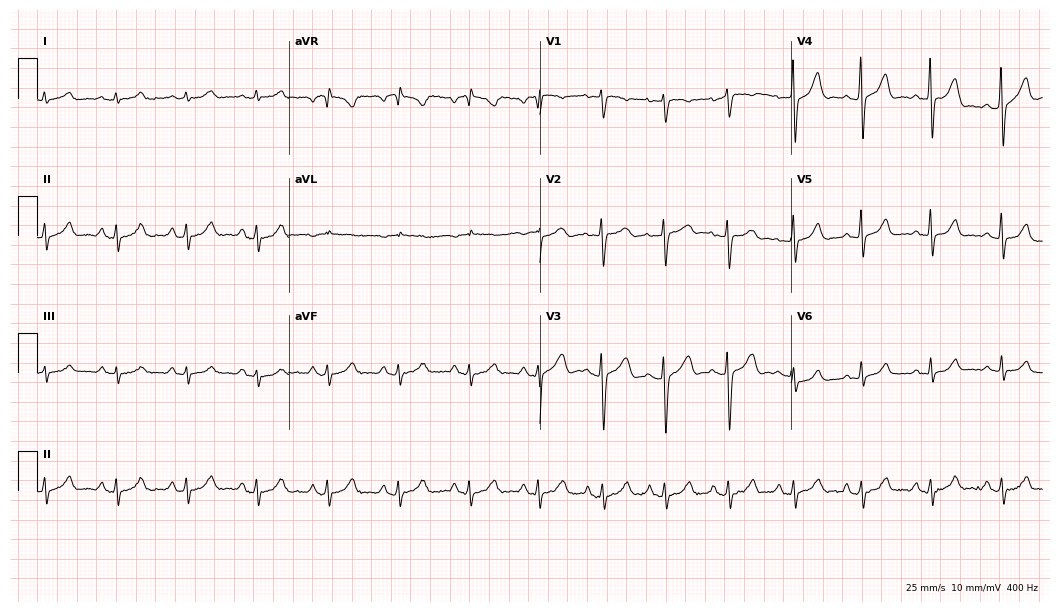
ECG (10.2-second recording at 400 Hz) — a 38-year-old female. Labelled as a normal ECG.